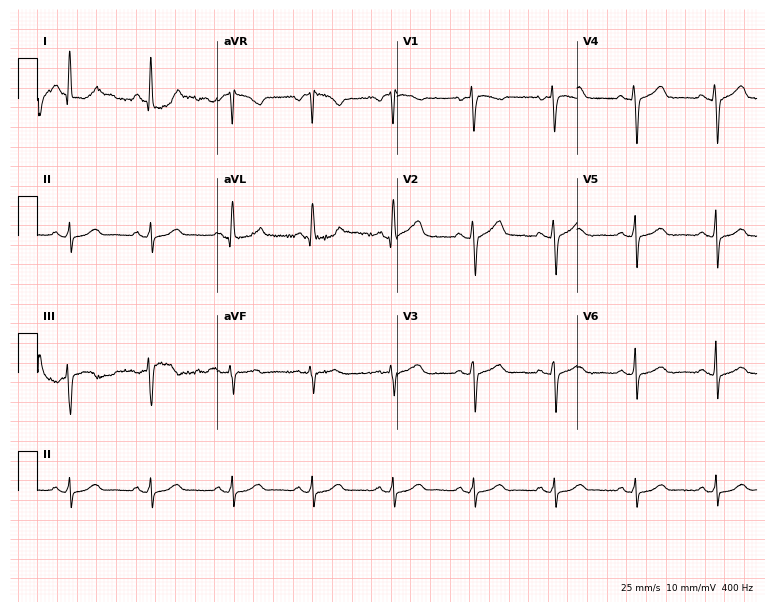
Resting 12-lead electrocardiogram. Patient: a 56-year-old woman. Read as a normal ECG.